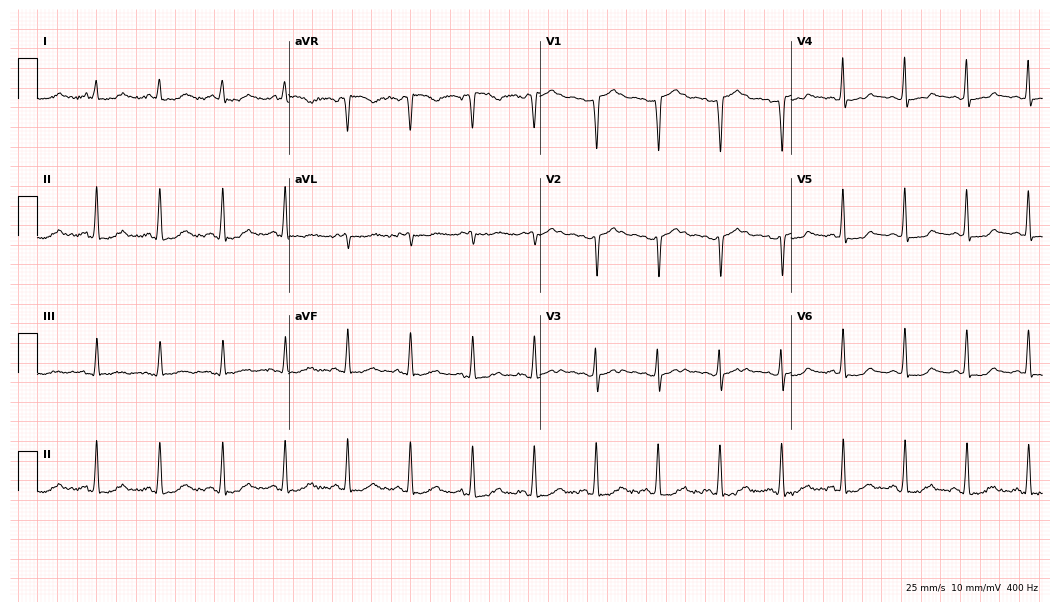
Resting 12-lead electrocardiogram (10.2-second recording at 400 Hz). Patient: a 54-year-old female. None of these six findings is recorded: first-degree AV block, right bundle branch block, left bundle branch block, sinus bradycardia, atrial fibrillation, sinus tachycardia. Other findings, if any, are not listed.